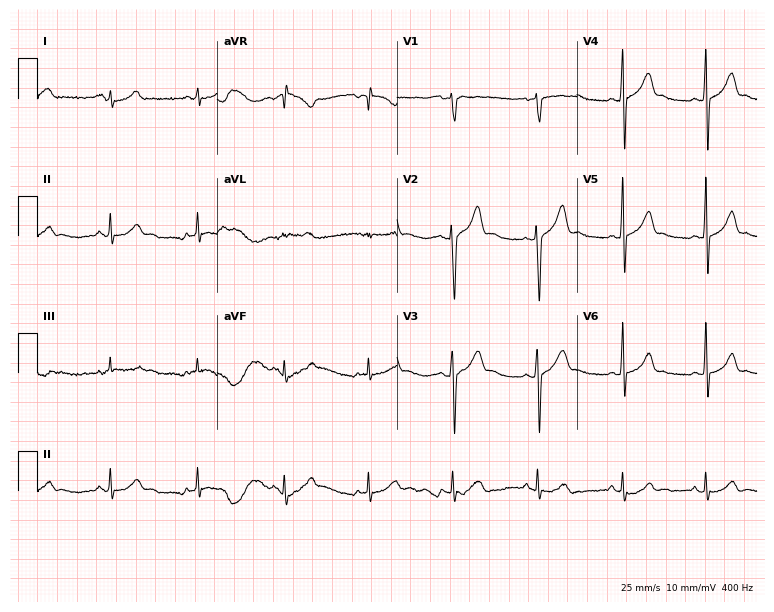
ECG — a male patient, 26 years old. Labelled as a normal ECG.